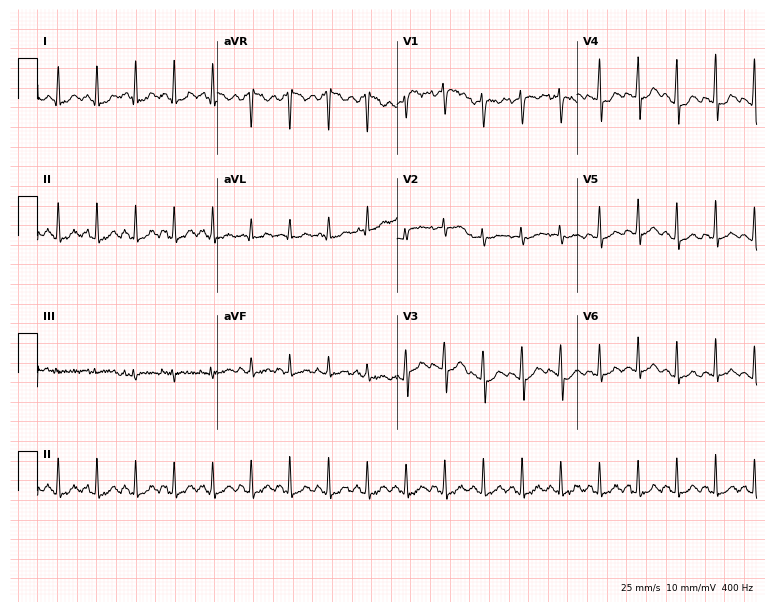
Electrocardiogram (7.3-second recording at 400 Hz), a female, 29 years old. Interpretation includes sinus tachycardia (a sinus rate of 100 beats per minute or more).